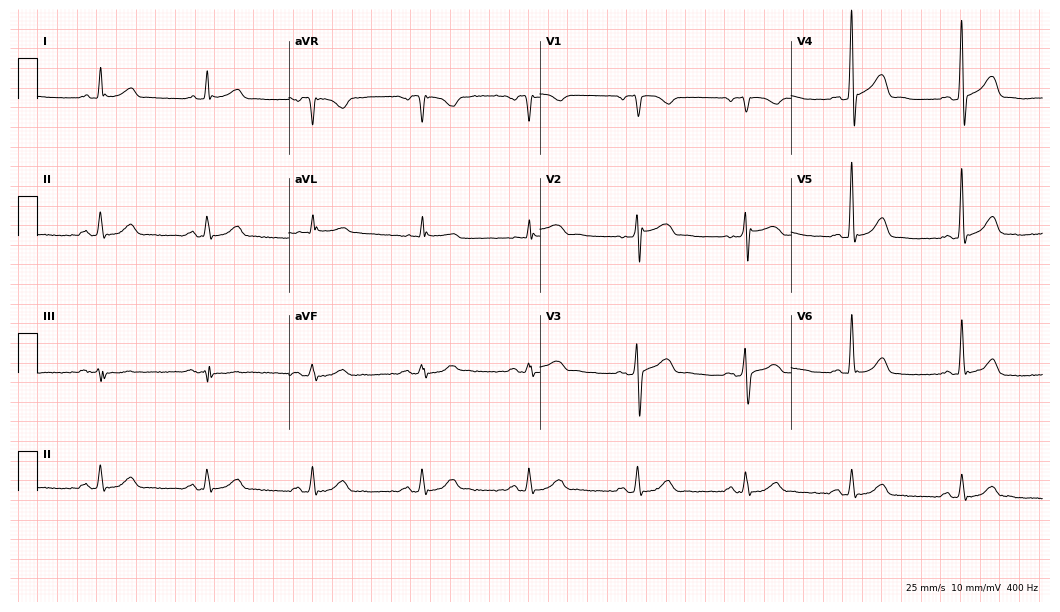
Electrocardiogram (10.2-second recording at 400 Hz), a male patient, 54 years old. Overall reading on record: normal ECG.